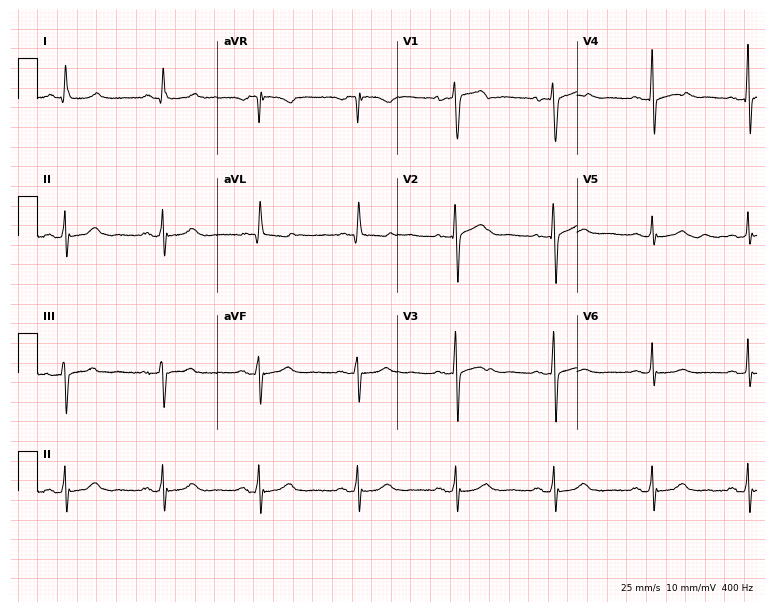
12-lead ECG from a 55-year-old female. Screened for six findings — first-degree AV block, right bundle branch block (RBBB), left bundle branch block (LBBB), sinus bradycardia, atrial fibrillation (AF), sinus tachycardia — none is recorded. Findings outside these six are not listed.